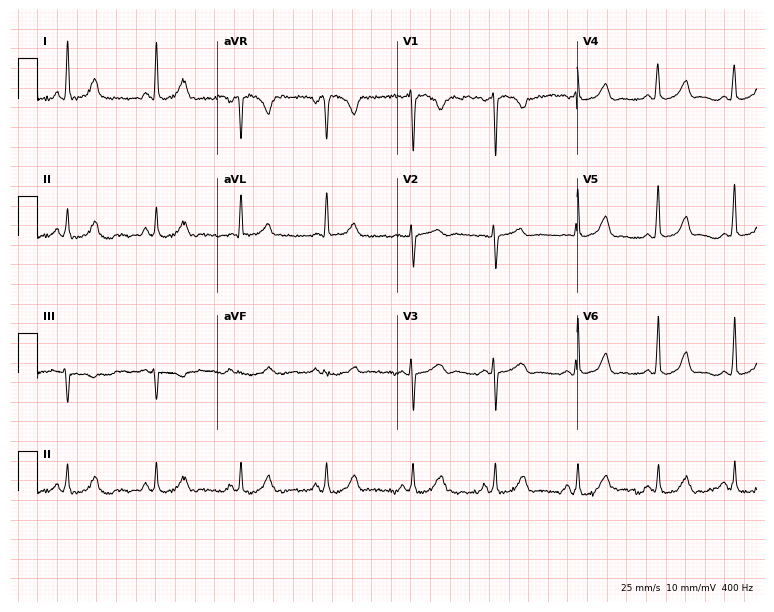
12-lead ECG from a woman, 29 years old. No first-degree AV block, right bundle branch block, left bundle branch block, sinus bradycardia, atrial fibrillation or sinus tachycardia recorded for this tracing.